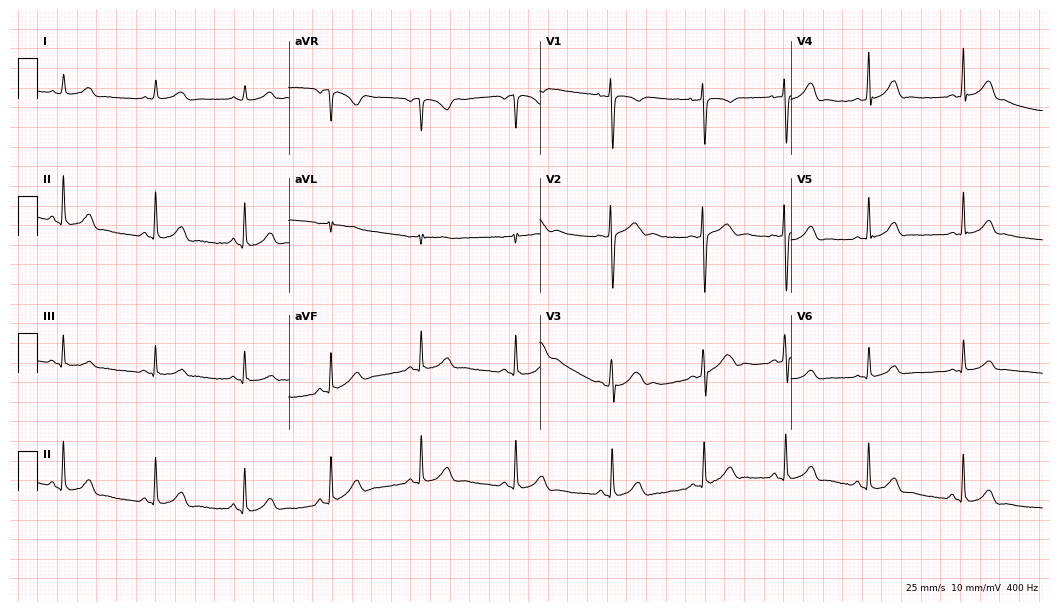
12-lead ECG from a 19-year-old woman (10.2-second recording at 400 Hz). Recorded interpretation: within normal limits.